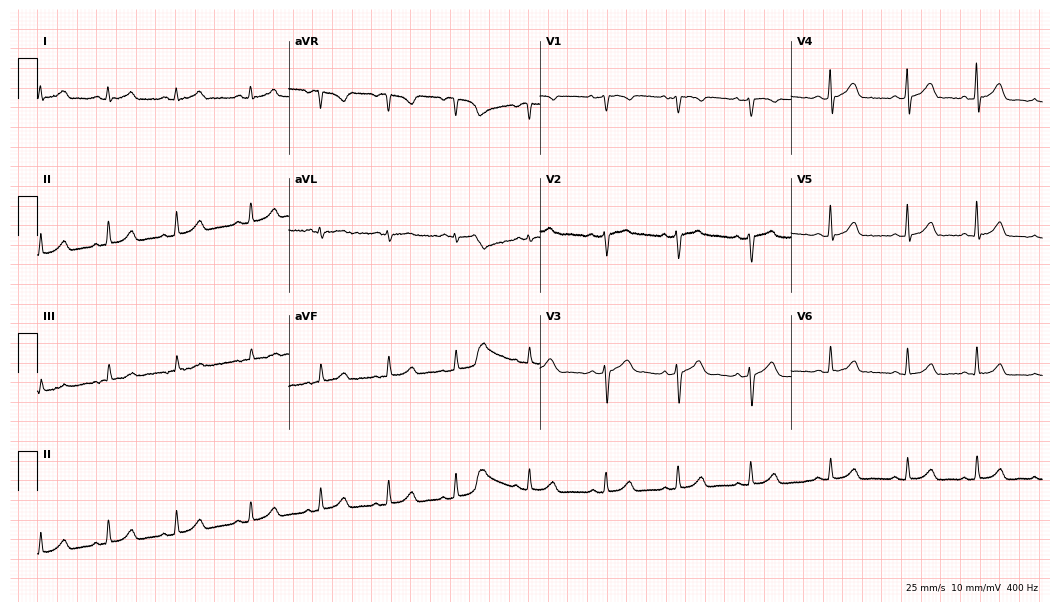
Electrocardiogram, a 30-year-old female patient. Overall reading on record: normal ECG.